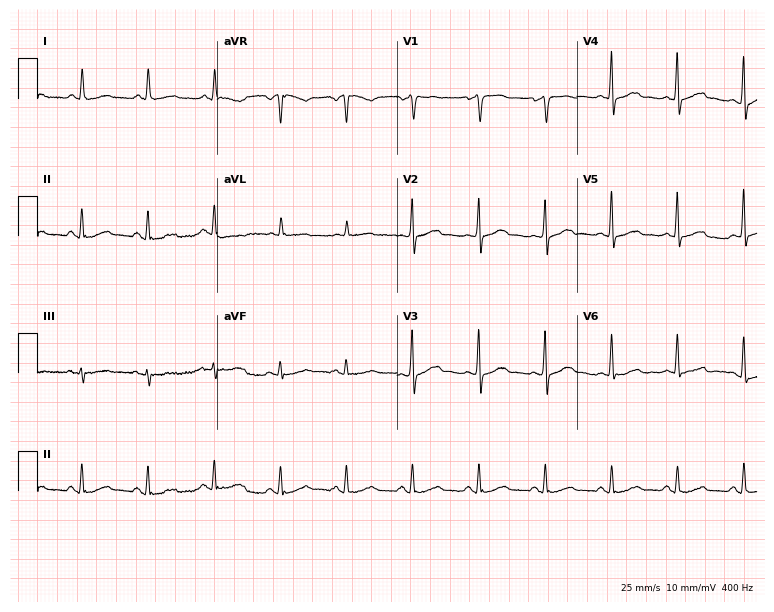
Electrocardiogram (7.3-second recording at 400 Hz), a 64-year-old male. Of the six screened findings (first-degree AV block, right bundle branch block, left bundle branch block, sinus bradycardia, atrial fibrillation, sinus tachycardia), none is recorded.